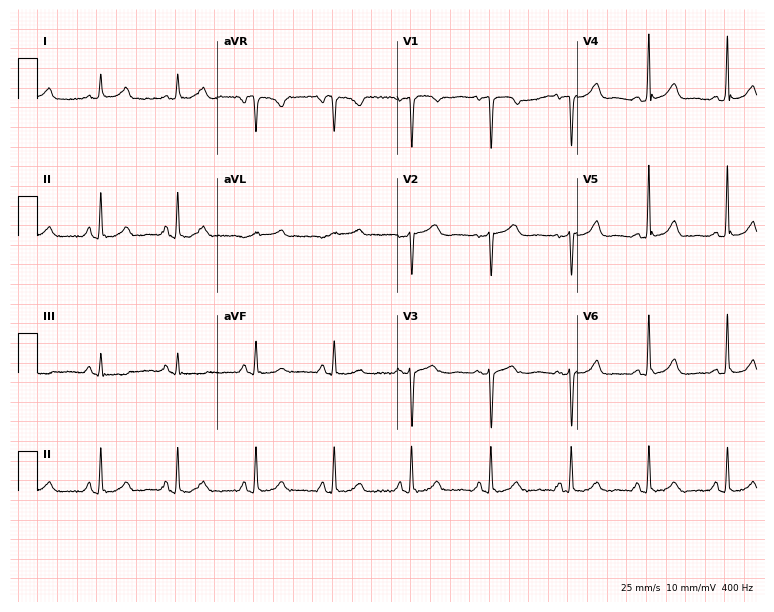
ECG (7.3-second recording at 400 Hz) — a 51-year-old woman. Labelled as a normal ECG.